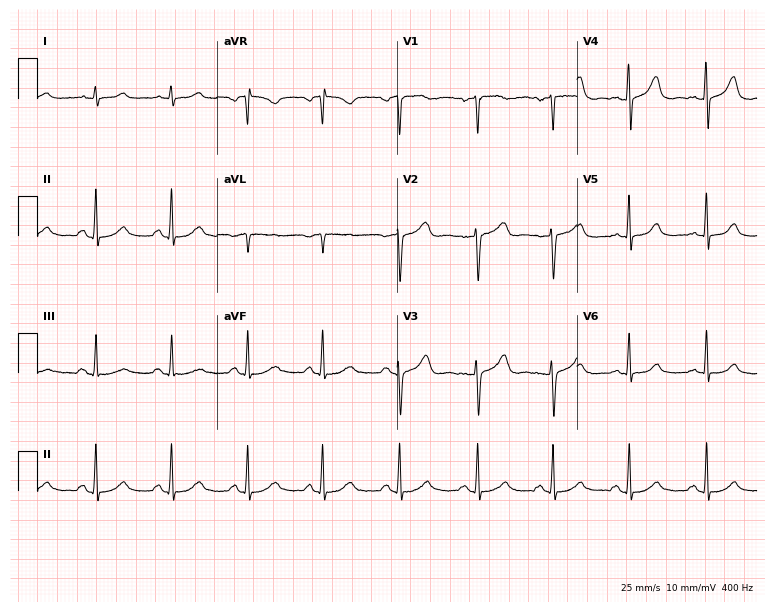
Electrocardiogram, a woman, 47 years old. Of the six screened findings (first-degree AV block, right bundle branch block, left bundle branch block, sinus bradycardia, atrial fibrillation, sinus tachycardia), none is recorded. Findings outside these six are not listed.